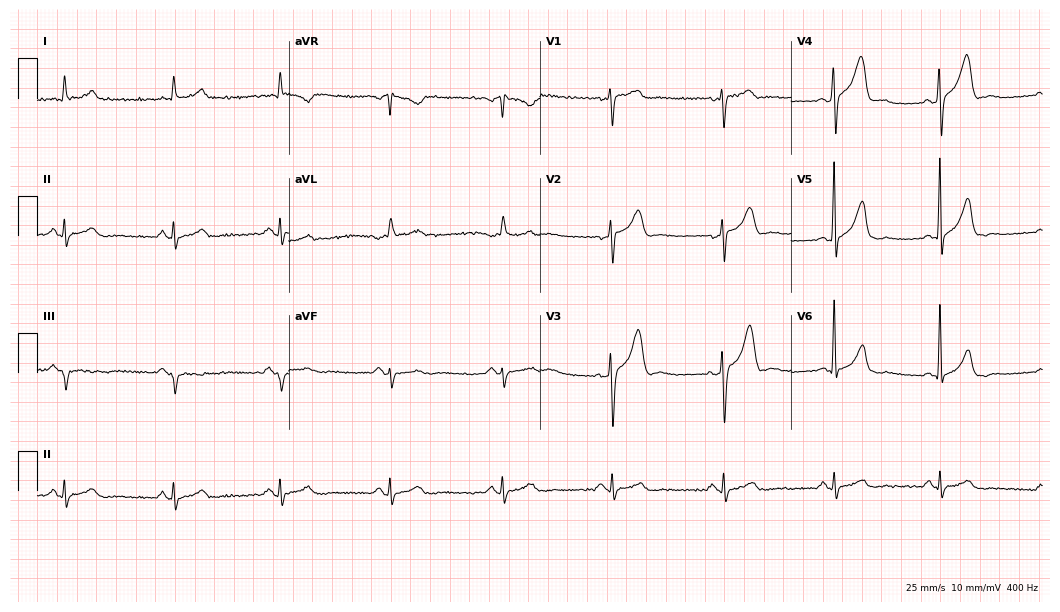
Electrocardiogram (10.2-second recording at 400 Hz), a male patient, 65 years old. Overall reading on record: normal ECG.